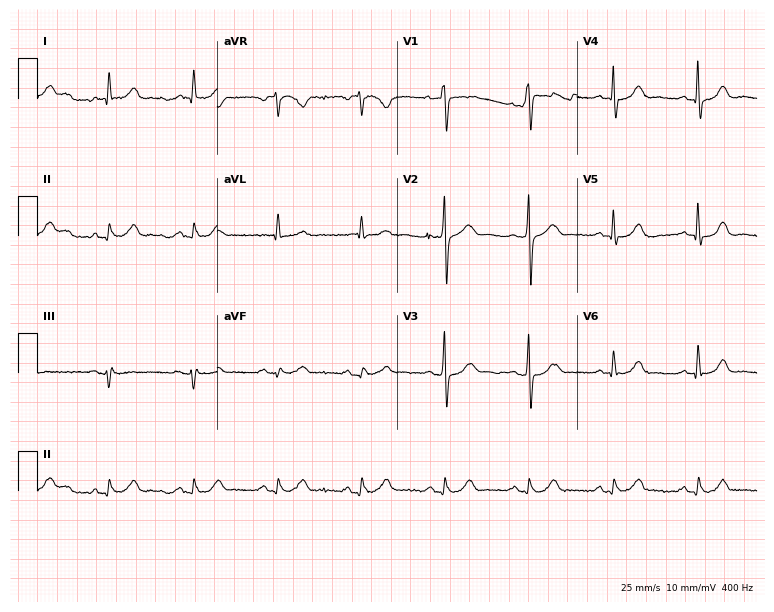
Resting 12-lead electrocardiogram. Patient: a 70-year-old man. Read as a normal ECG.